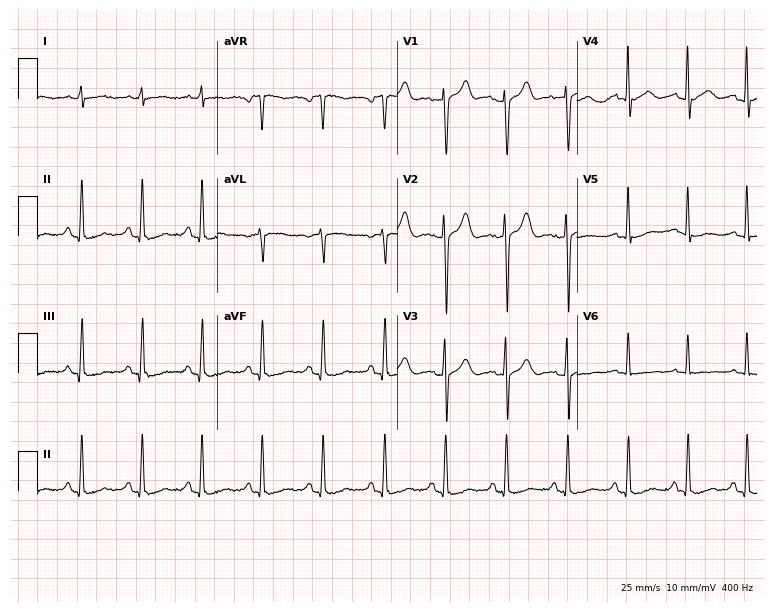
12-lead ECG from a 26-year-old male patient (7.3-second recording at 400 Hz). No first-degree AV block, right bundle branch block (RBBB), left bundle branch block (LBBB), sinus bradycardia, atrial fibrillation (AF) or sinus tachycardia recorded for this tracing.